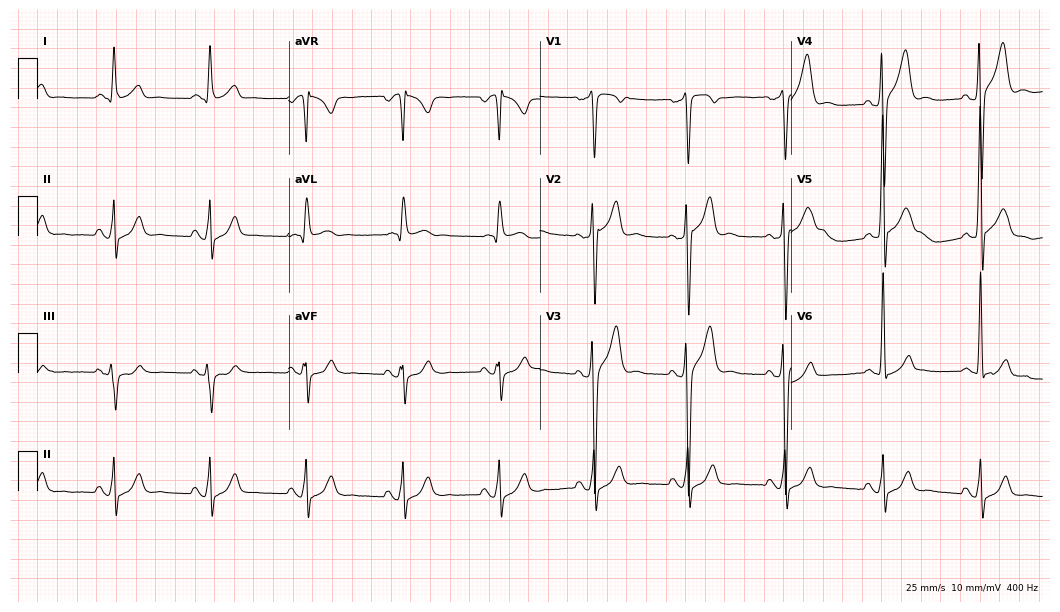
12-lead ECG (10.2-second recording at 400 Hz) from a male patient, 31 years old. Screened for six findings — first-degree AV block, right bundle branch block, left bundle branch block, sinus bradycardia, atrial fibrillation, sinus tachycardia — none is recorded.